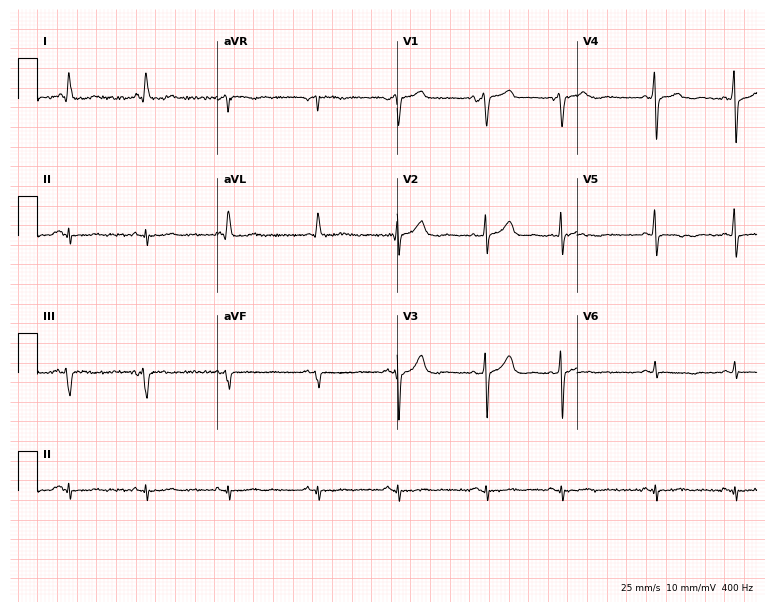
12-lead ECG from a male, 72 years old. Screened for six findings — first-degree AV block, right bundle branch block, left bundle branch block, sinus bradycardia, atrial fibrillation, sinus tachycardia — none is recorded. Other findings, if any, are not listed.